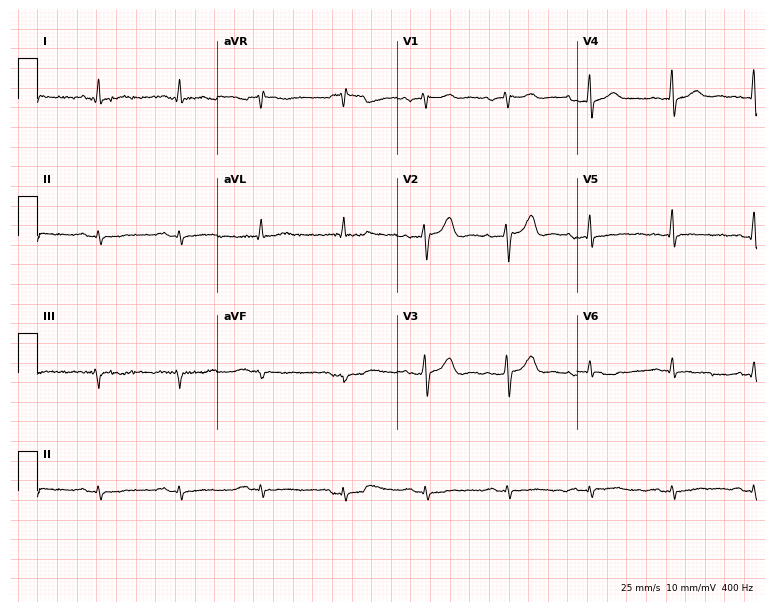
12-lead ECG from a male, 65 years old (7.3-second recording at 400 Hz). No first-degree AV block, right bundle branch block, left bundle branch block, sinus bradycardia, atrial fibrillation or sinus tachycardia recorded for this tracing. Other findings, if any, are not listed.